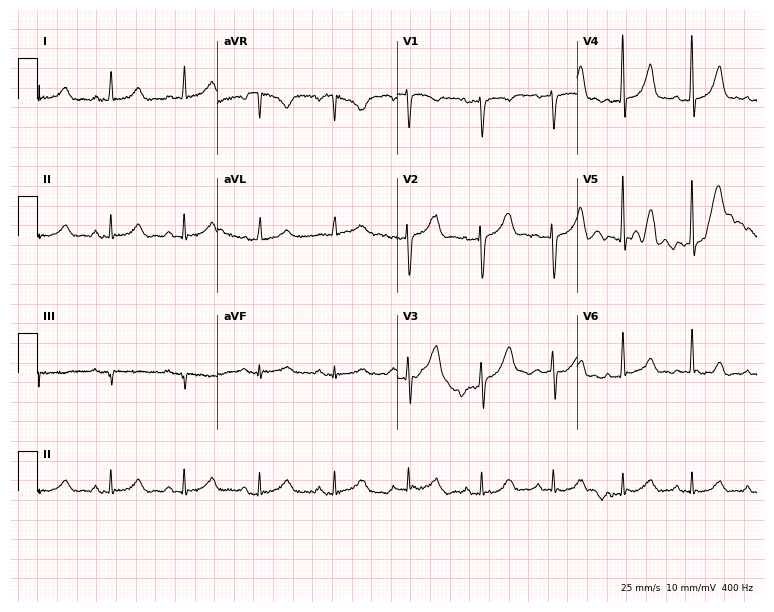
ECG — a woman, 71 years old. Screened for six findings — first-degree AV block, right bundle branch block (RBBB), left bundle branch block (LBBB), sinus bradycardia, atrial fibrillation (AF), sinus tachycardia — none is recorded. Findings outside these six are not listed.